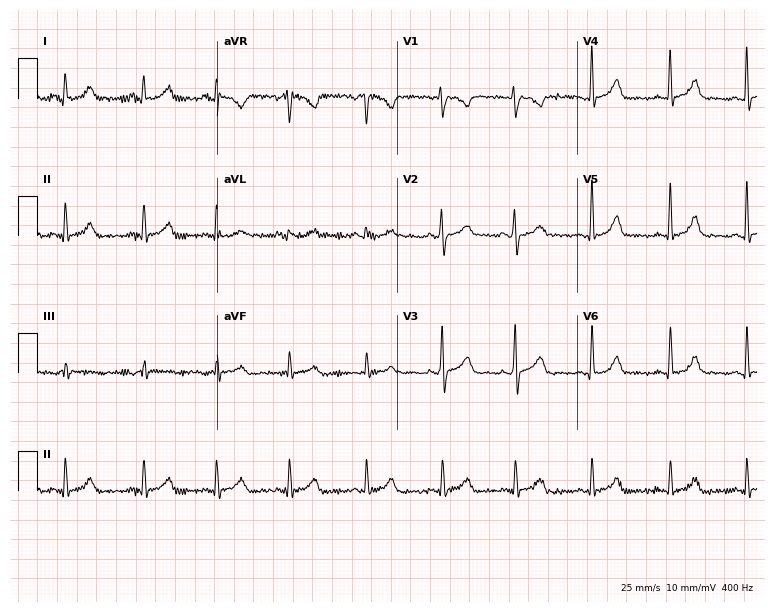
Standard 12-lead ECG recorded from a female, 37 years old. None of these six findings is recorded: first-degree AV block, right bundle branch block, left bundle branch block, sinus bradycardia, atrial fibrillation, sinus tachycardia.